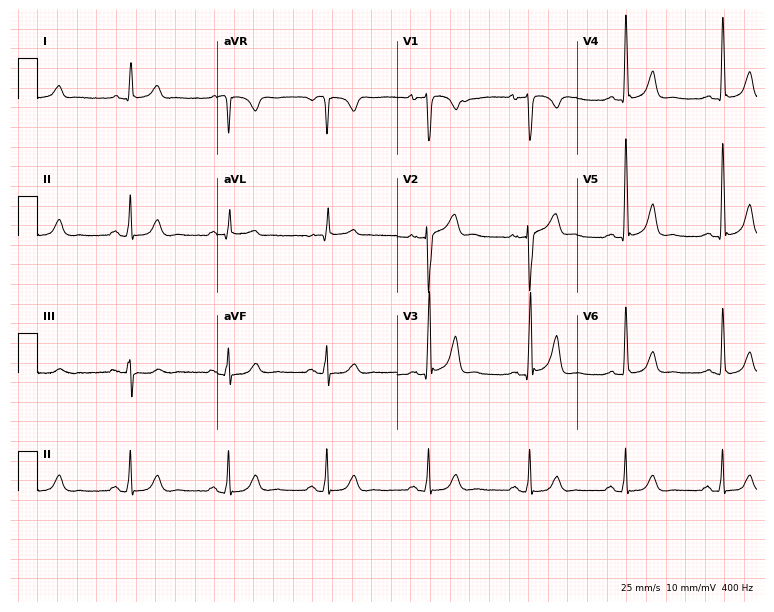
12-lead ECG from a 64-year-old woman (7.3-second recording at 400 Hz). No first-degree AV block, right bundle branch block, left bundle branch block, sinus bradycardia, atrial fibrillation or sinus tachycardia recorded for this tracing.